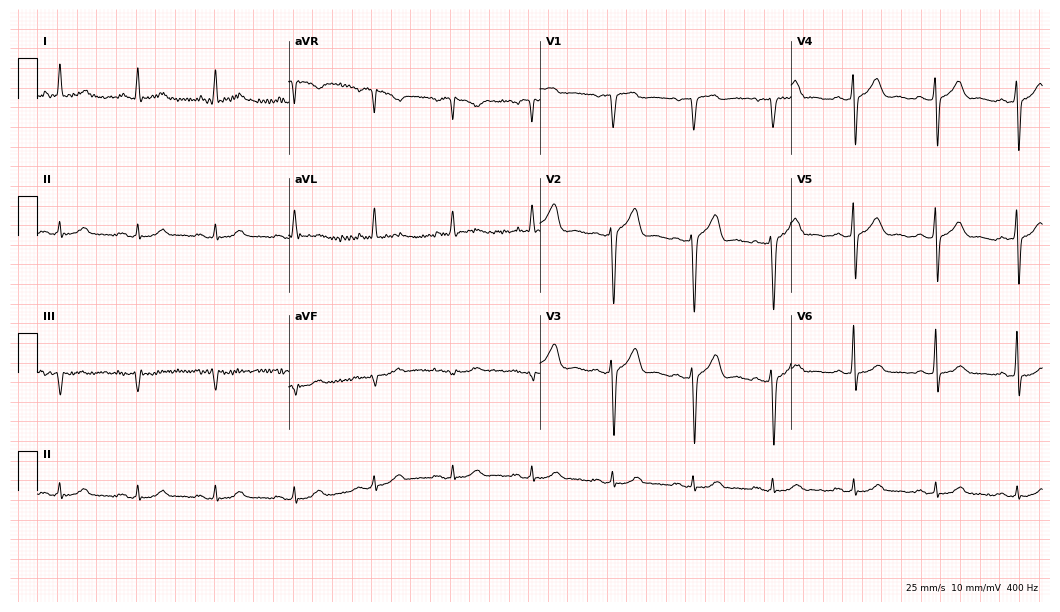
12-lead ECG from a 57-year-old male. Recorded interpretation: within normal limits.